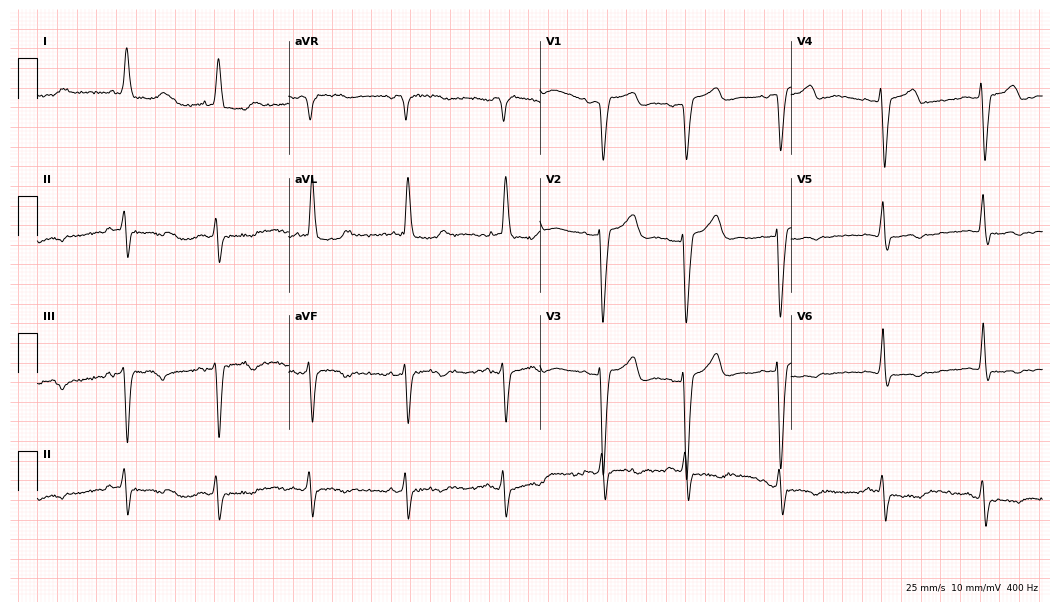
Standard 12-lead ECG recorded from an 84-year-old woman. None of these six findings is recorded: first-degree AV block, right bundle branch block, left bundle branch block, sinus bradycardia, atrial fibrillation, sinus tachycardia.